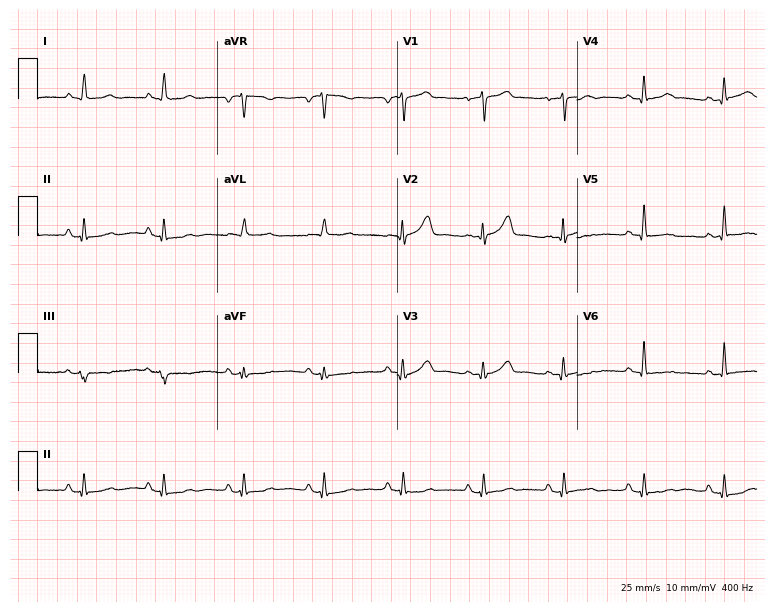
12-lead ECG from an 81-year-old male patient. Recorded interpretation: within normal limits.